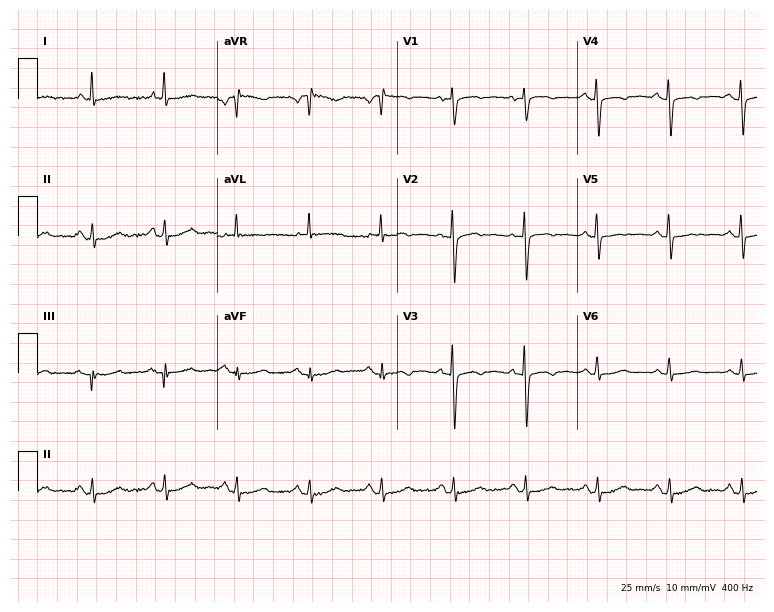
12-lead ECG from a female patient, 79 years old. Recorded interpretation: within normal limits.